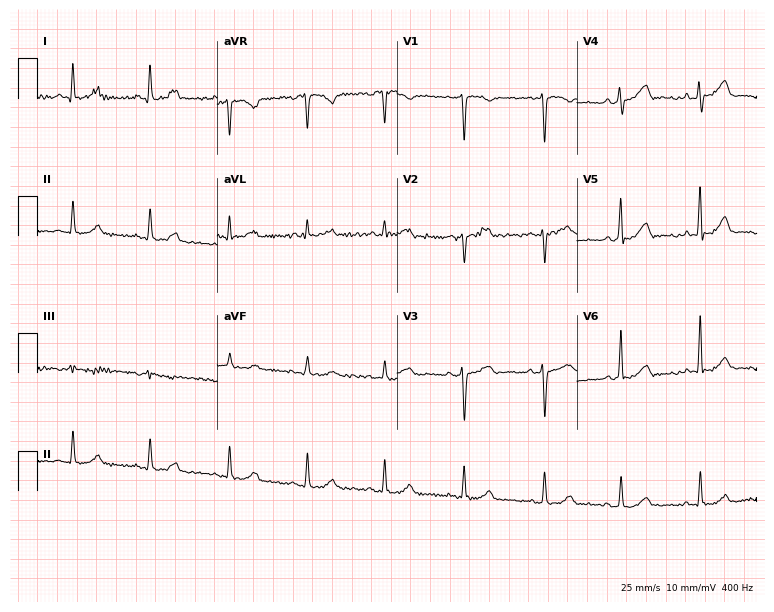
Electrocardiogram (7.3-second recording at 400 Hz), a woman, 43 years old. Of the six screened findings (first-degree AV block, right bundle branch block, left bundle branch block, sinus bradycardia, atrial fibrillation, sinus tachycardia), none is recorded. Other findings, if any, are not listed.